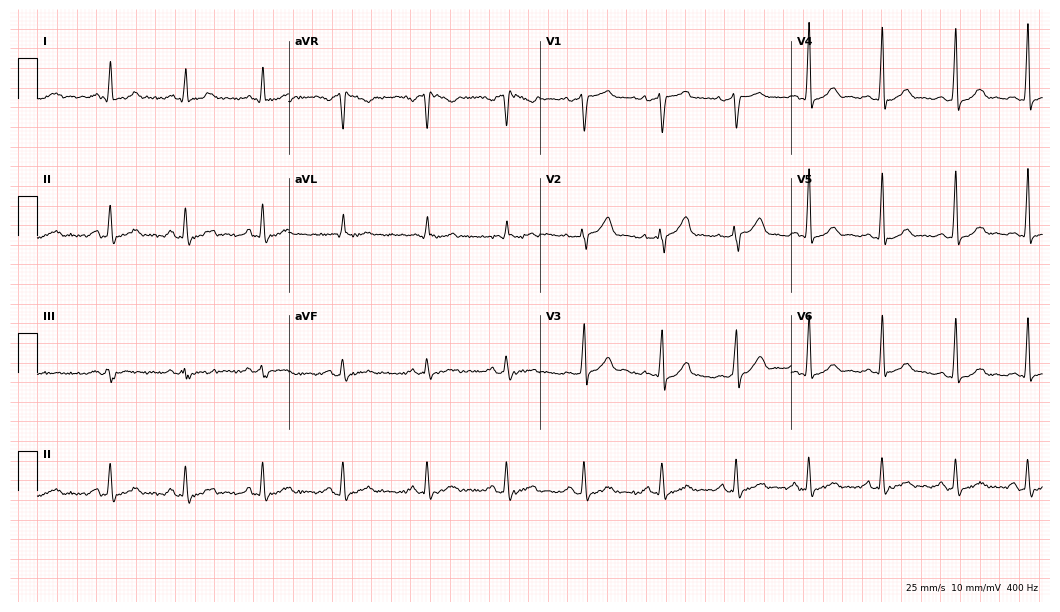
Standard 12-lead ECG recorded from a 38-year-old male patient. None of these six findings is recorded: first-degree AV block, right bundle branch block, left bundle branch block, sinus bradycardia, atrial fibrillation, sinus tachycardia.